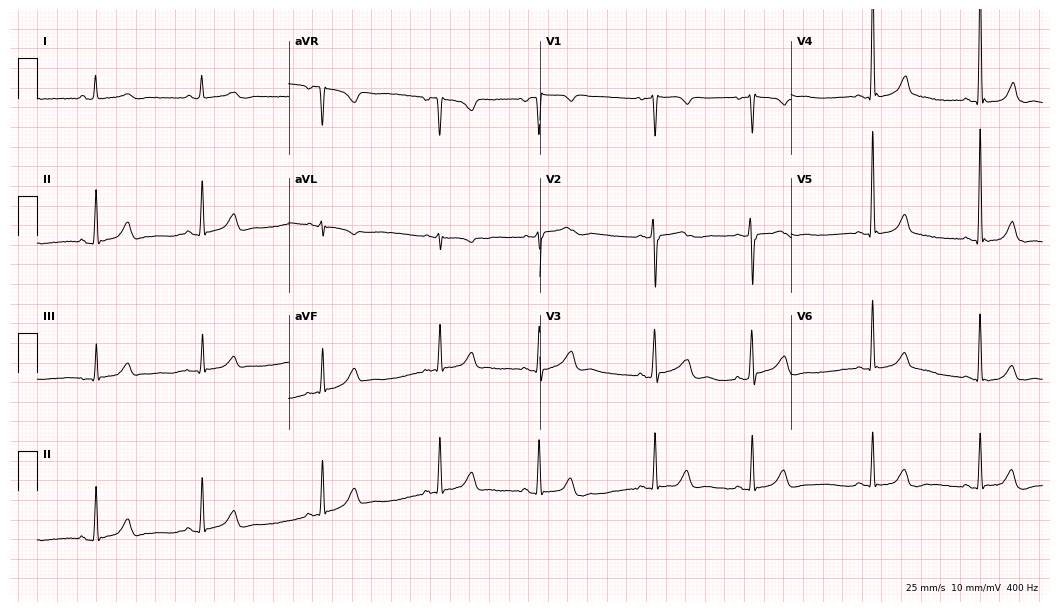
ECG (10.2-second recording at 400 Hz) — a 51-year-old woman. Labelled as a normal ECG.